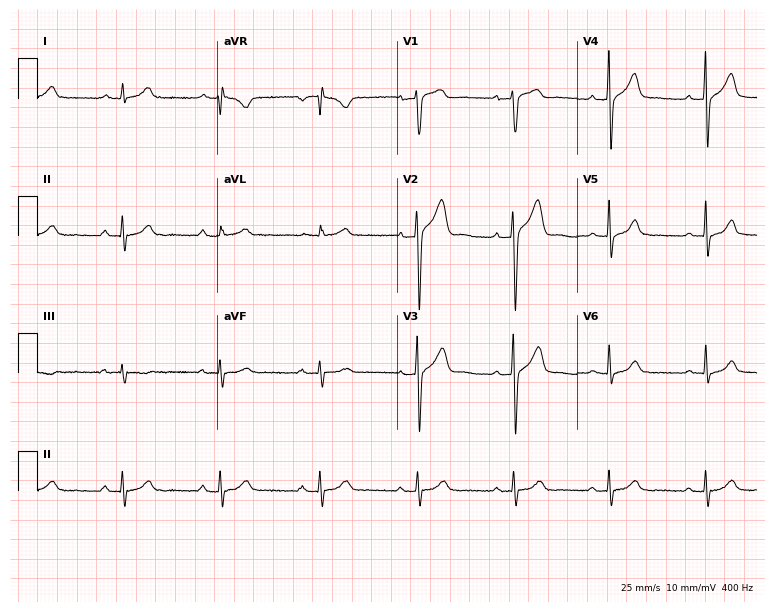
12-lead ECG (7.3-second recording at 400 Hz) from a 55-year-old man. Screened for six findings — first-degree AV block, right bundle branch block, left bundle branch block, sinus bradycardia, atrial fibrillation, sinus tachycardia — none is recorded.